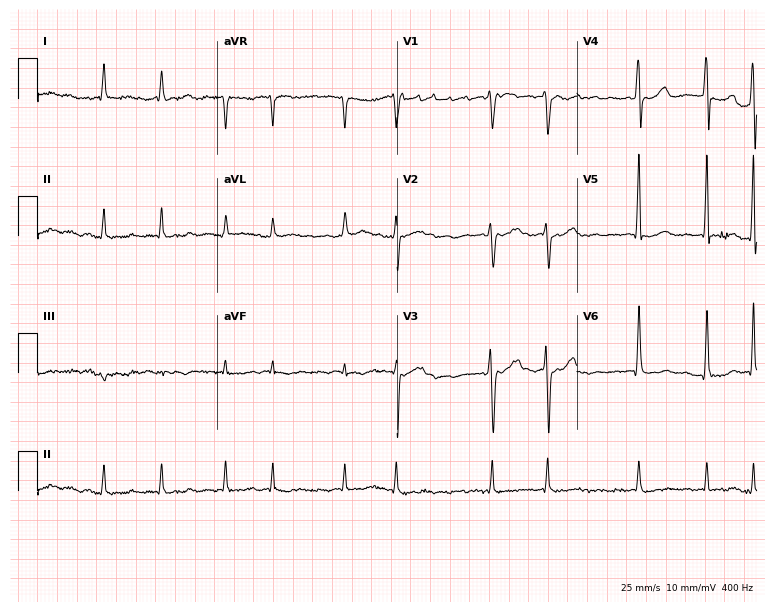
12-lead ECG from a male patient, 65 years old. Shows atrial fibrillation (AF).